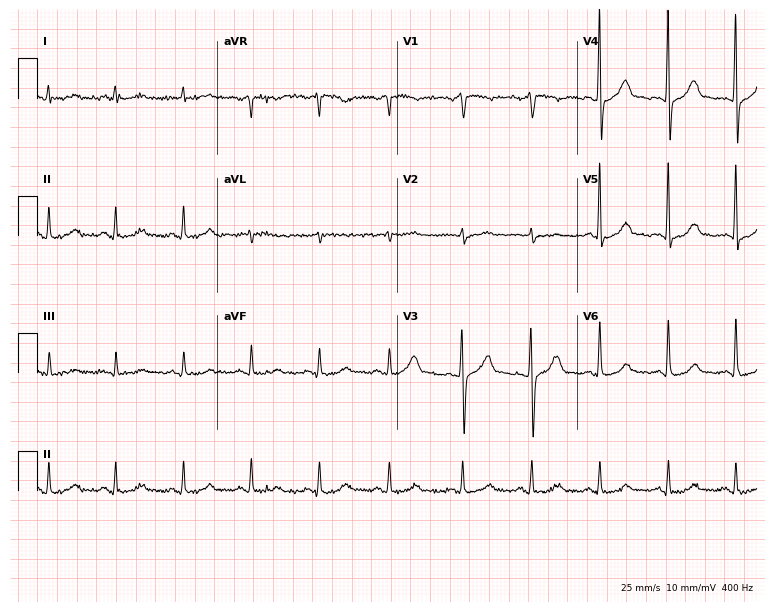
12-lead ECG from a 54-year-old male patient. Recorded interpretation: within normal limits.